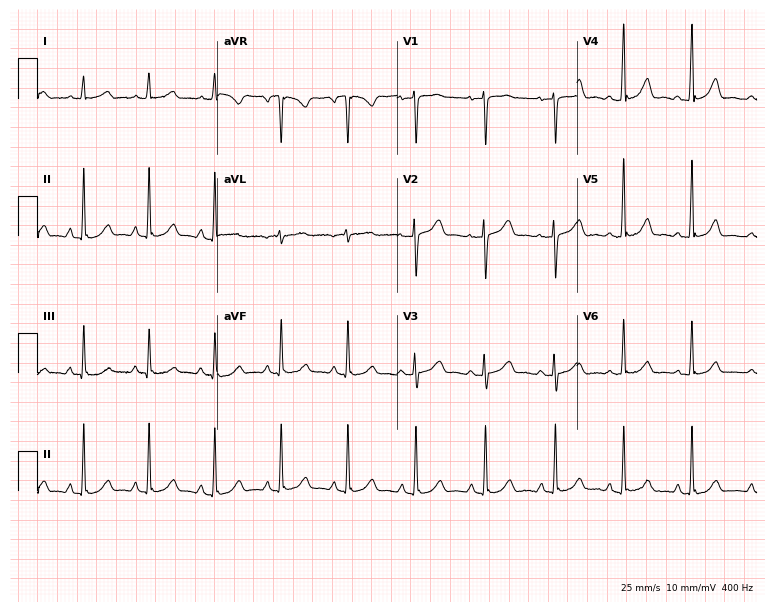
Electrocardiogram, a 40-year-old female. Of the six screened findings (first-degree AV block, right bundle branch block, left bundle branch block, sinus bradycardia, atrial fibrillation, sinus tachycardia), none is recorded. Findings outside these six are not listed.